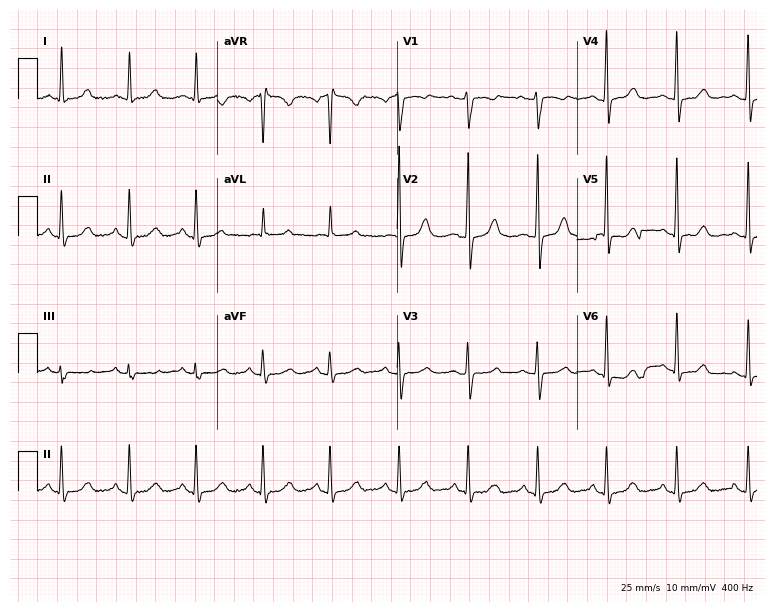
12-lead ECG from a female, 48 years old. Recorded interpretation: within normal limits.